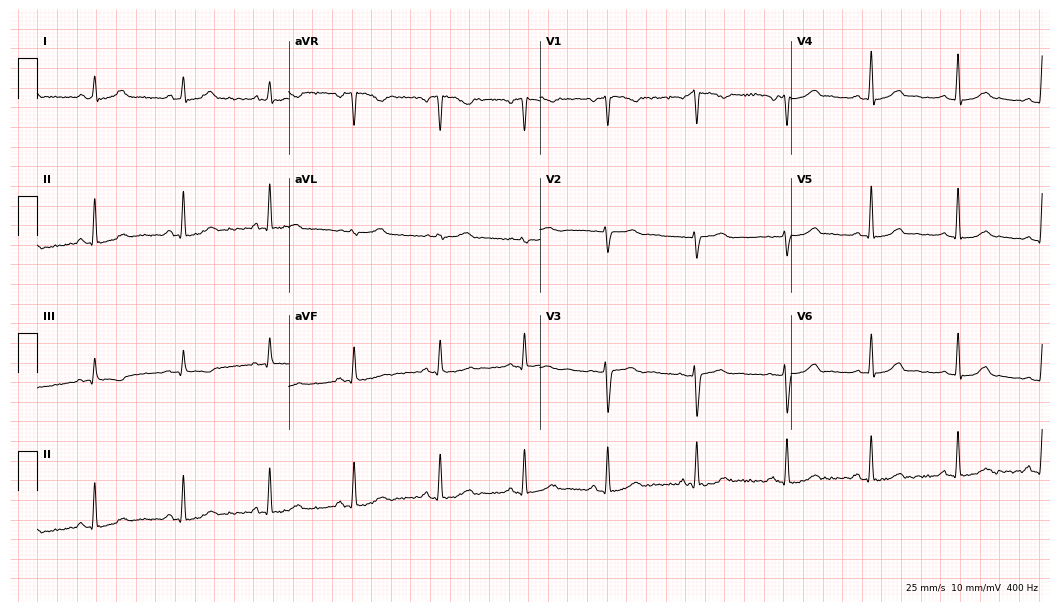
12-lead ECG from a female, 29 years old. Screened for six findings — first-degree AV block, right bundle branch block, left bundle branch block, sinus bradycardia, atrial fibrillation, sinus tachycardia — none is recorded.